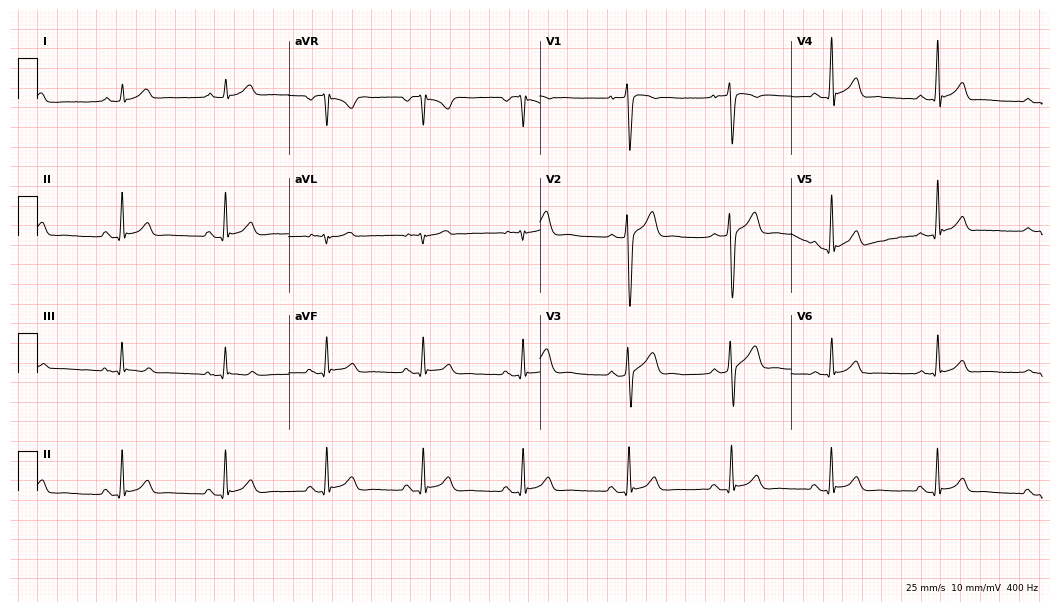
Standard 12-lead ECG recorded from a 29-year-old male. Read as a normal ECG.